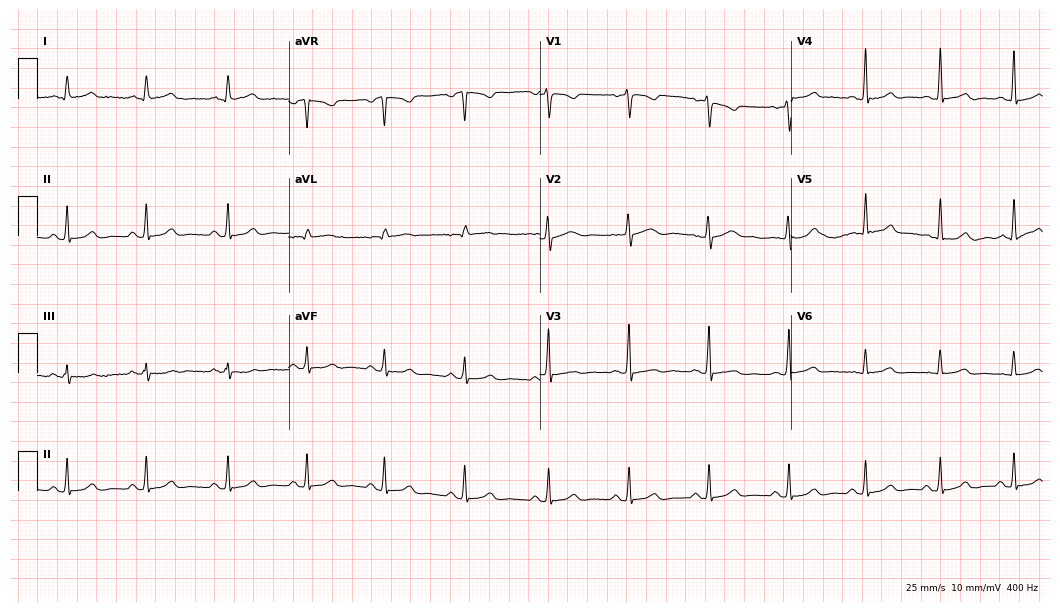
12-lead ECG (10.2-second recording at 400 Hz) from a female, 40 years old. Labelled as a normal ECG.